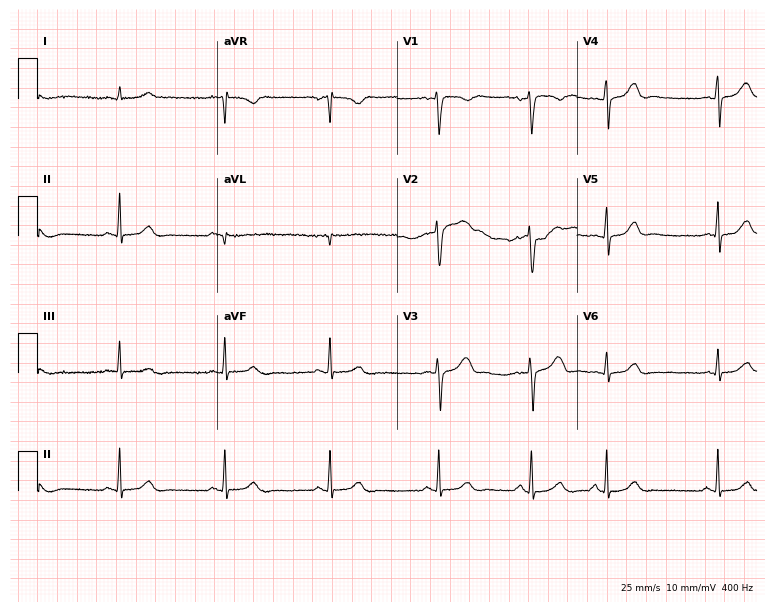
12-lead ECG from a 38-year-old woman. Labelled as a normal ECG.